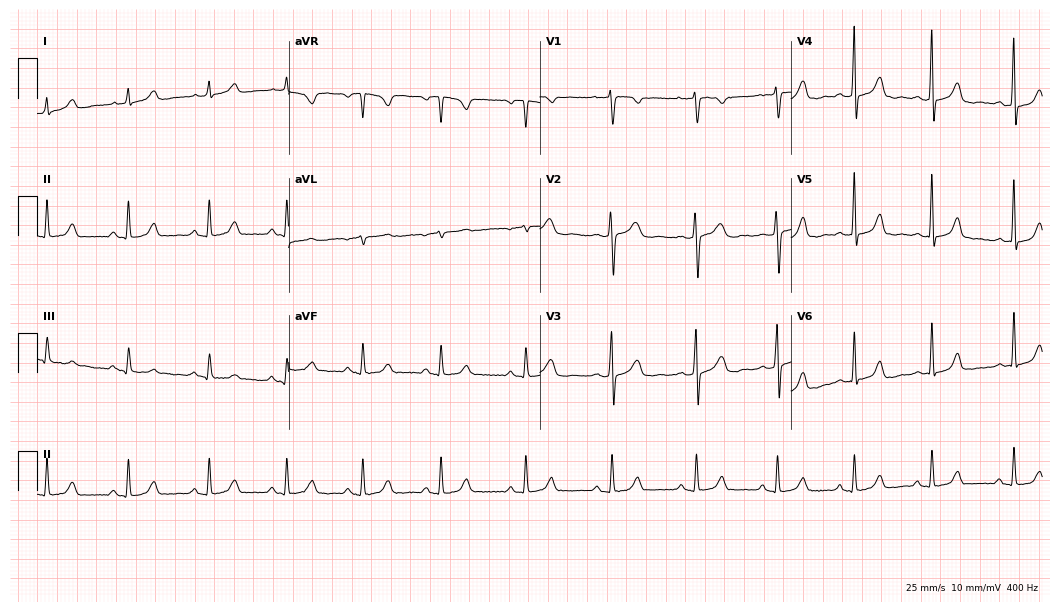
12-lead ECG from a 27-year-old female (10.2-second recording at 400 Hz). Recorded interpretation: within normal limits.